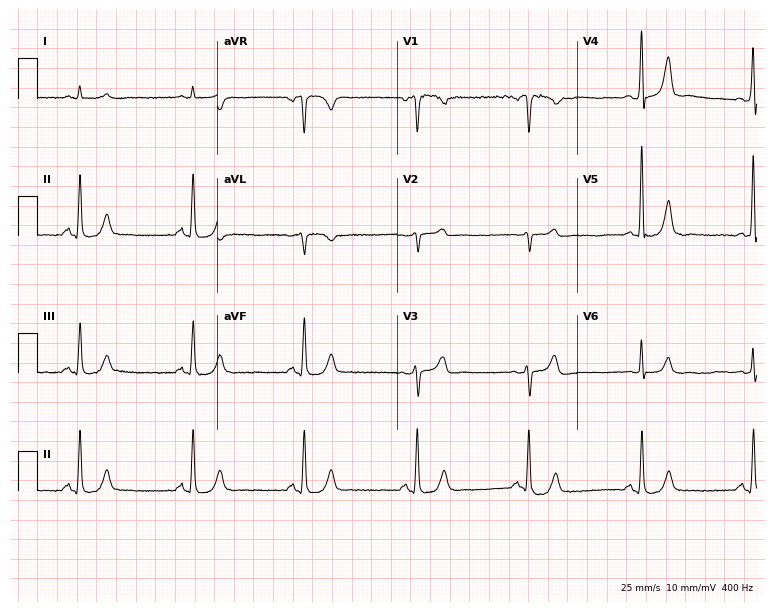
12-lead ECG from a male patient, 65 years old. Screened for six findings — first-degree AV block, right bundle branch block, left bundle branch block, sinus bradycardia, atrial fibrillation, sinus tachycardia — none is recorded.